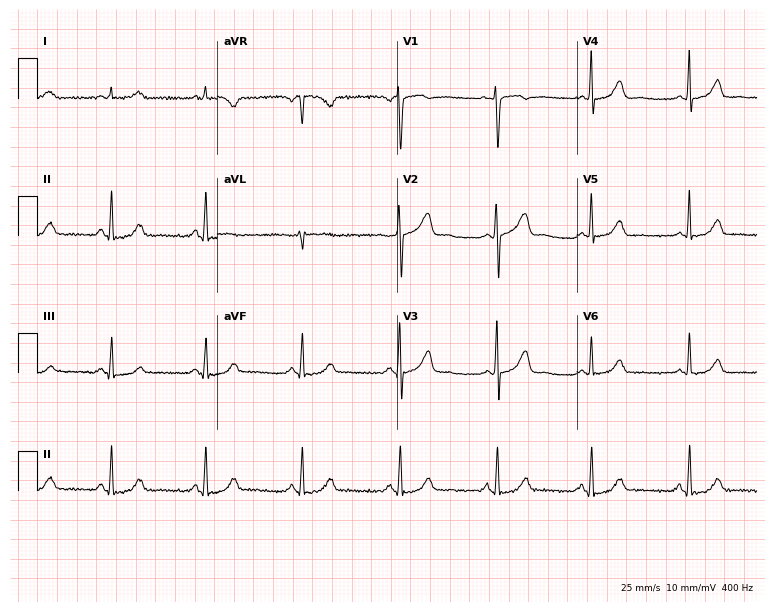
ECG (7.3-second recording at 400 Hz) — a female patient, 36 years old. Screened for six findings — first-degree AV block, right bundle branch block (RBBB), left bundle branch block (LBBB), sinus bradycardia, atrial fibrillation (AF), sinus tachycardia — none is recorded.